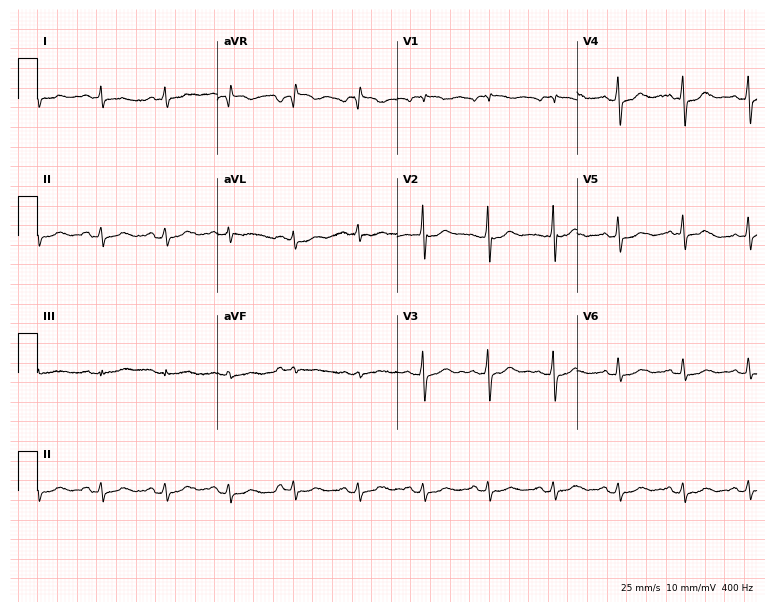
12-lead ECG from a 79-year-old male. Recorded interpretation: within normal limits.